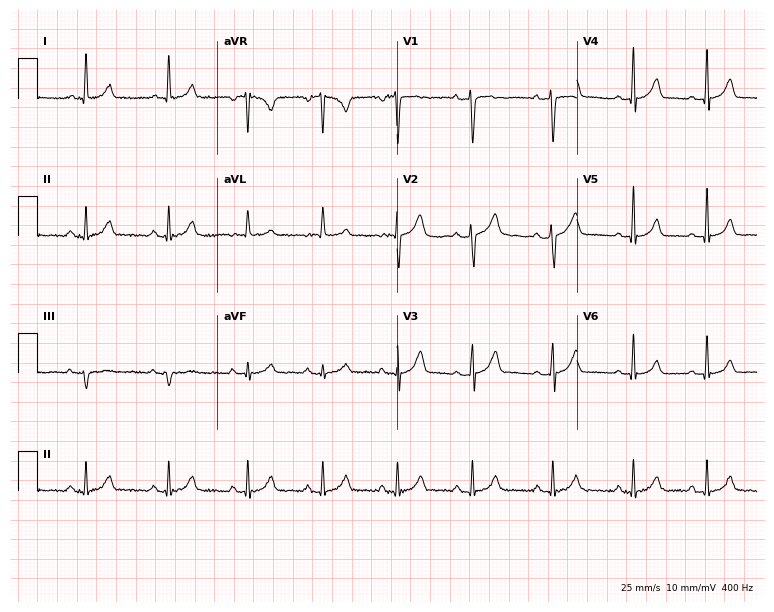
Standard 12-lead ECG recorded from a 27-year-old female. Read as a normal ECG.